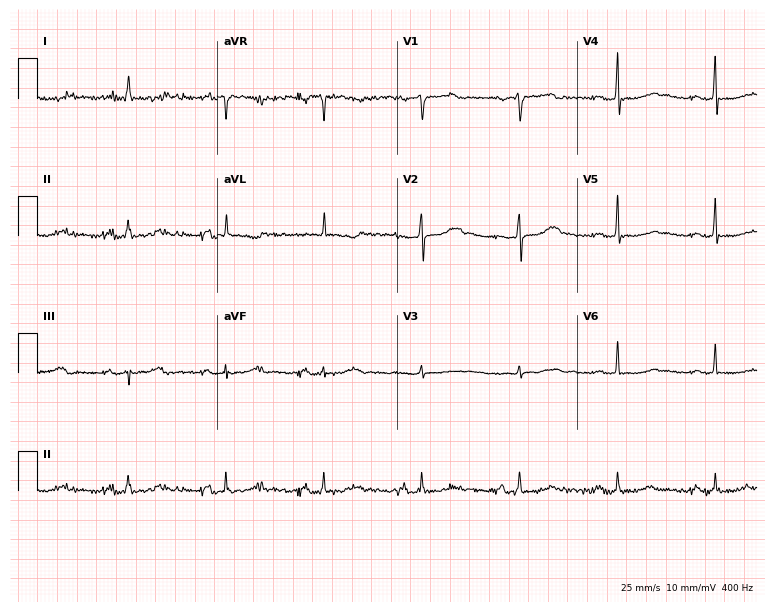
Electrocardiogram, a 57-year-old woman. Of the six screened findings (first-degree AV block, right bundle branch block (RBBB), left bundle branch block (LBBB), sinus bradycardia, atrial fibrillation (AF), sinus tachycardia), none is recorded.